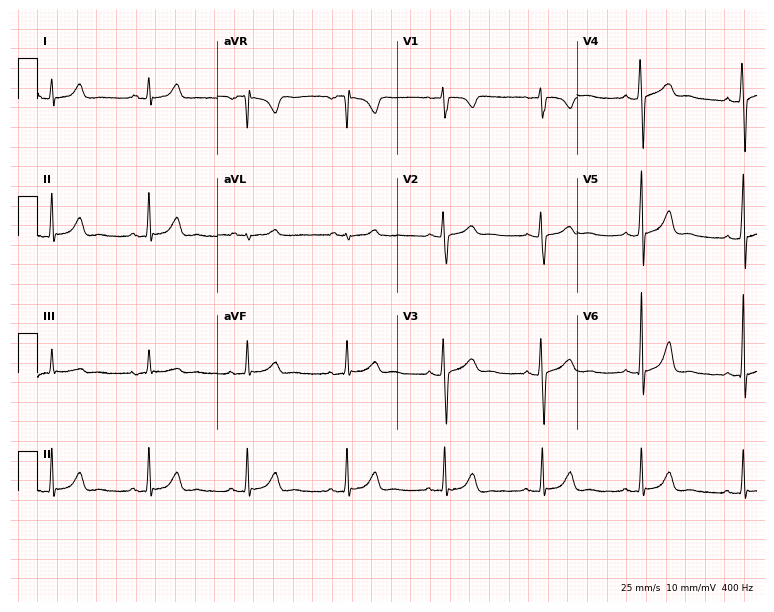
Electrocardiogram, a woman, 25 years old. Overall reading on record: normal ECG.